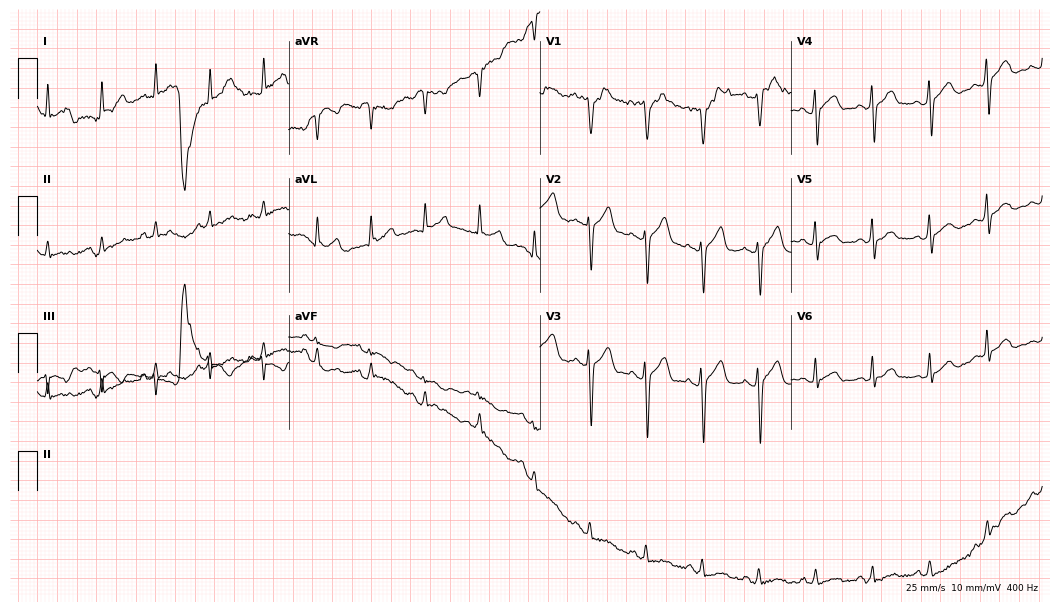
12-lead ECG from a man, 39 years old. Screened for six findings — first-degree AV block, right bundle branch block (RBBB), left bundle branch block (LBBB), sinus bradycardia, atrial fibrillation (AF), sinus tachycardia — none is recorded. Findings outside these six are not listed.